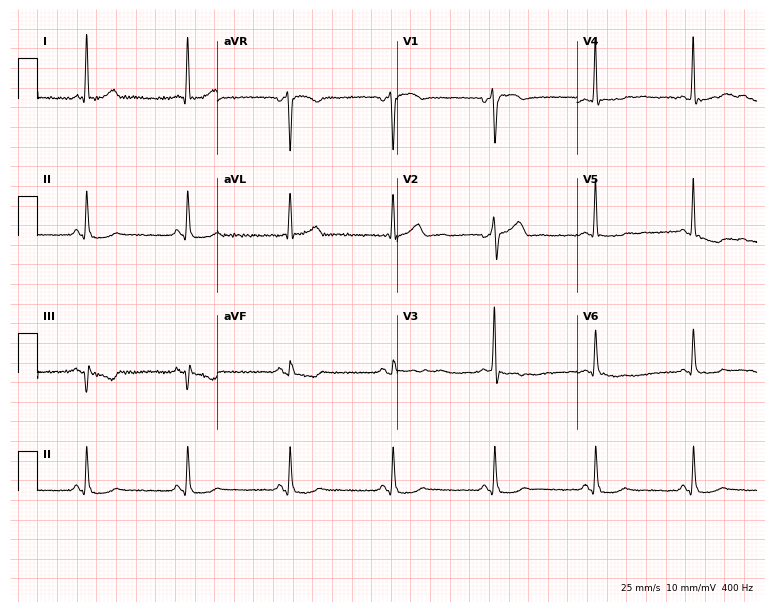
12-lead ECG from a male, 45 years old (7.3-second recording at 400 Hz). No first-degree AV block, right bundle branch block (RBBB), left bundle branch block (LBBB), sinus bradycardia, atrial fibrillation (AF) or sinus tachycardia recorded for this tracing.